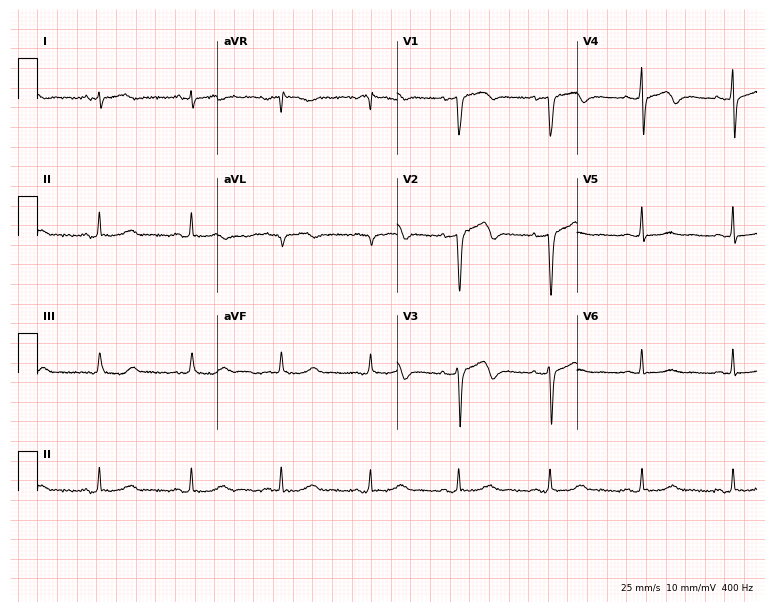
ECG (7.3-second recording at 400 Hz) — a 68-year-old female. Screened for six findings — first-degree AV block, right bundle branch block, left bundle branch block, sinus bradycardia, atrial fibrillation, sinus tachycardia — none is recorded.